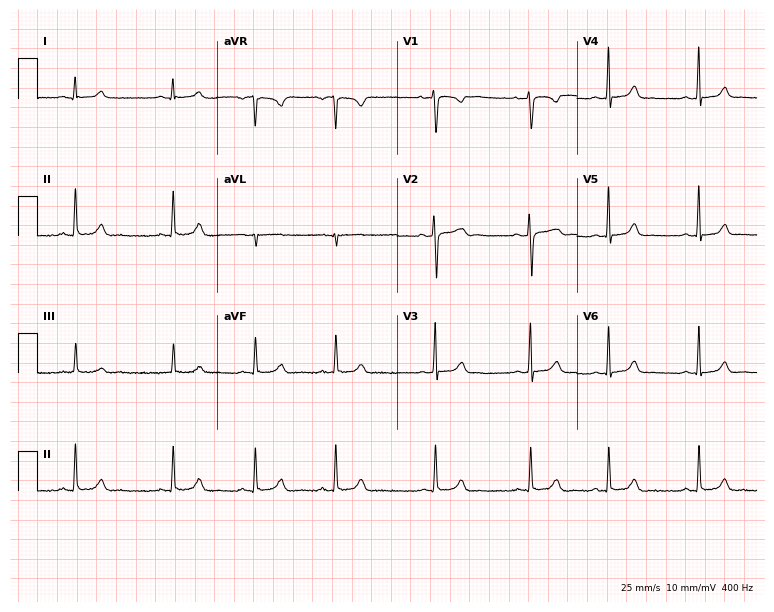
ECG — an 18-year-old female. Labelled as a normal ECG.